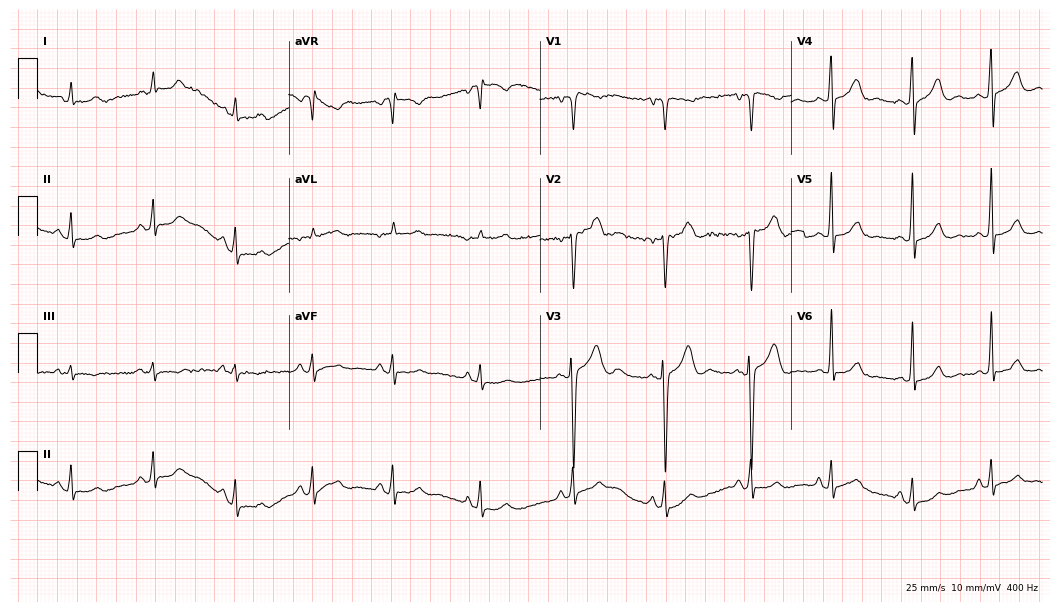
Electrocardiogram (10.2-second recording at 400 Hz), a 31-year-old male. Of the six screened findings (first-degree AV block, right bundle branch block (RBBB), left bundle branch block (LBBB), sinus bradycardia, atrial fibrillation (AF), sinus tachycardia), none is recorded.